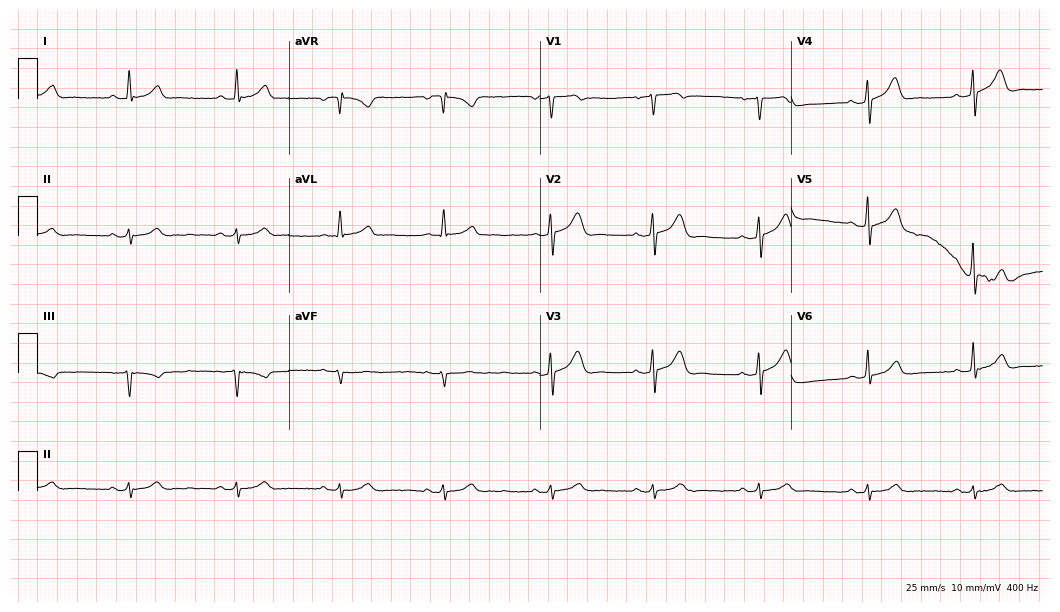
Resting 12-lead electrocardiogram (10.2-second recording at 400 Hz). Patient: a 65-year-old man. Read as a normal ECG.